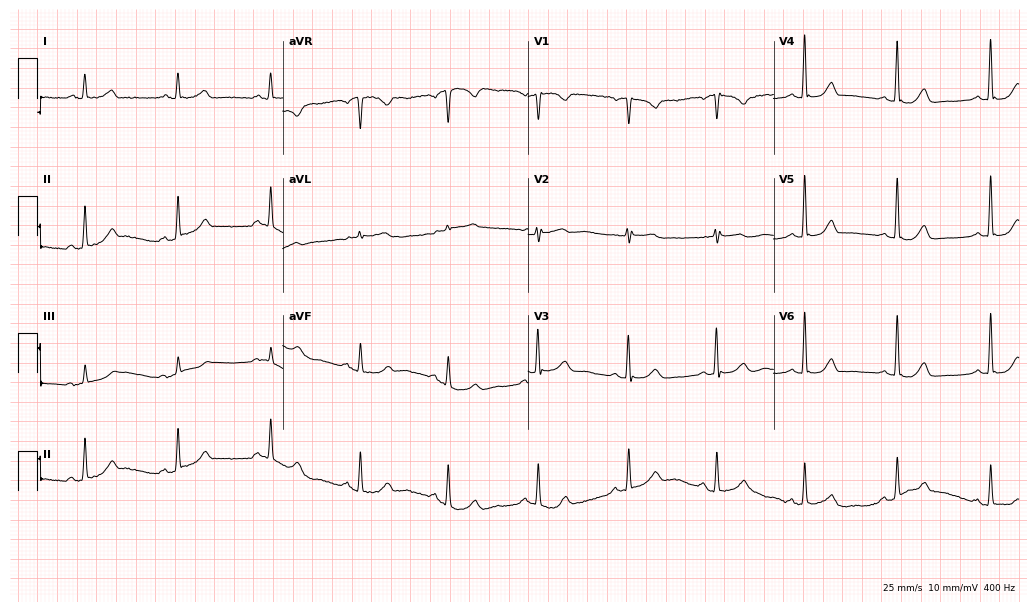
ECG — a female, 69 years old. Labelled as a normal ECG.